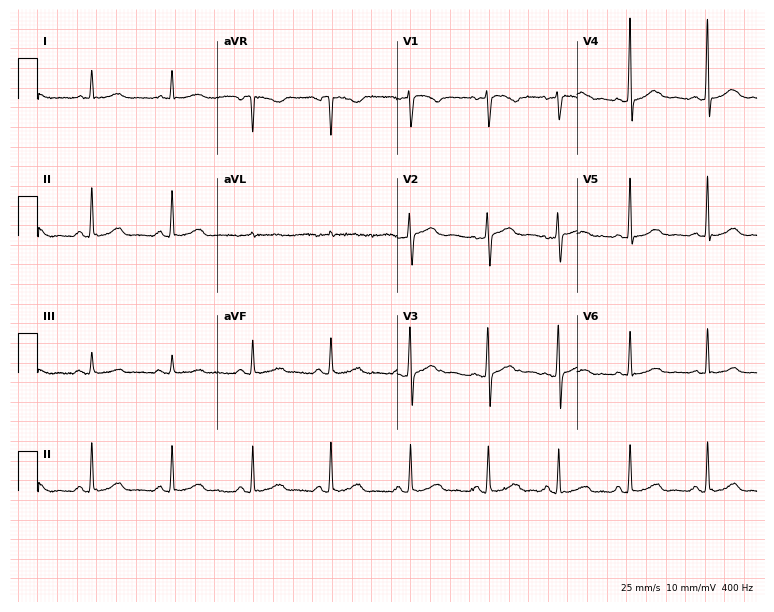
Standard 12-lead ECG recorded from a female patient, 53 years old. None of these six findings is recorded: first-degree AV block, right bundle branch block, left bundle branch block, sinus bradycardia, atrial fibrillation, sinus tachycardia. Other findings, if any, are not listed.